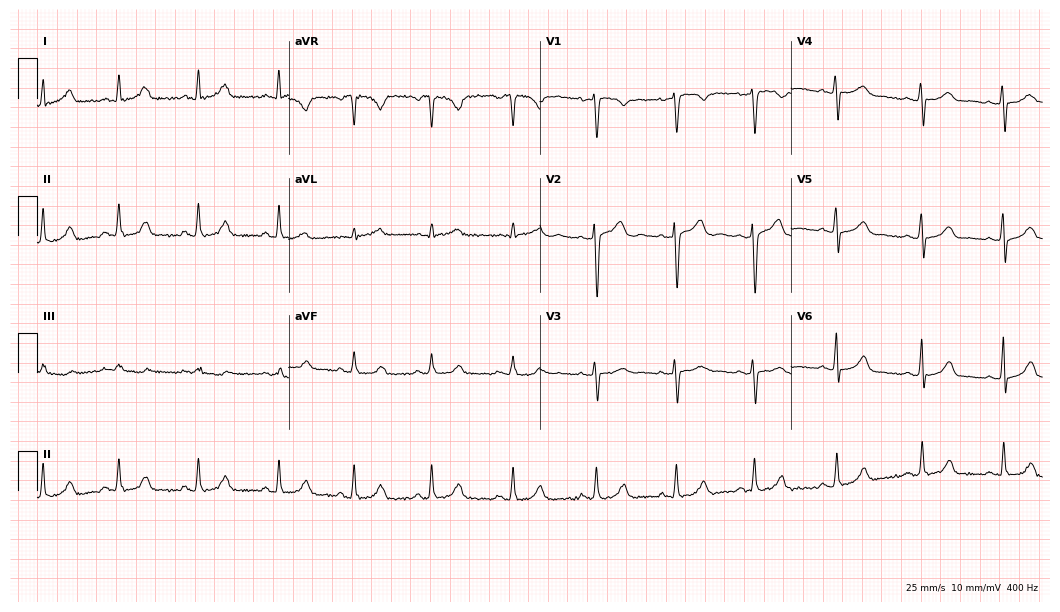
Resting 12-lead electrocardiogram (10.2-second recording at 400 Hz). Patient: a female, 35 years old. Read as a normal ECG.